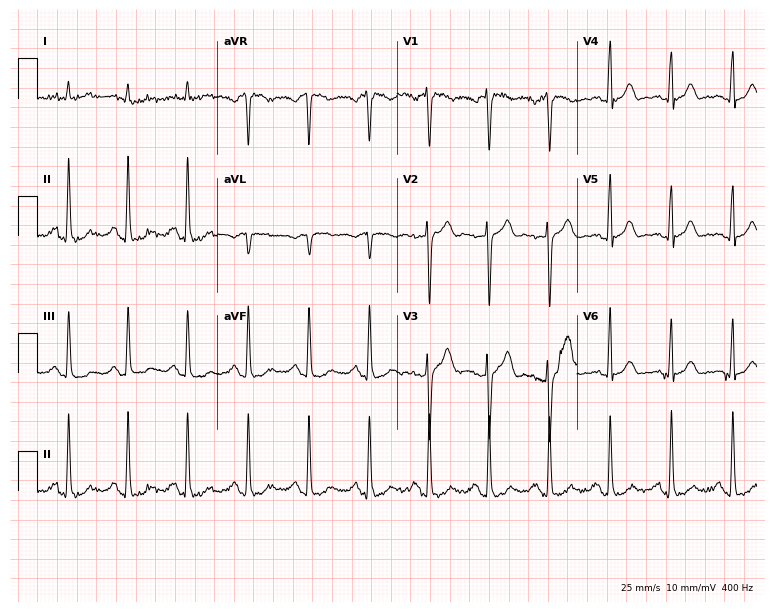
Resting 12-lead electrocardiogram. Patient: a 57-year-old man. None of these six findings is recorded: first-degree AV block, right bundle branch block, left bundle branch block, sinus bradycardia, atrial fibrillation, sinus tachycardia. Other findings, if any, are not listed.